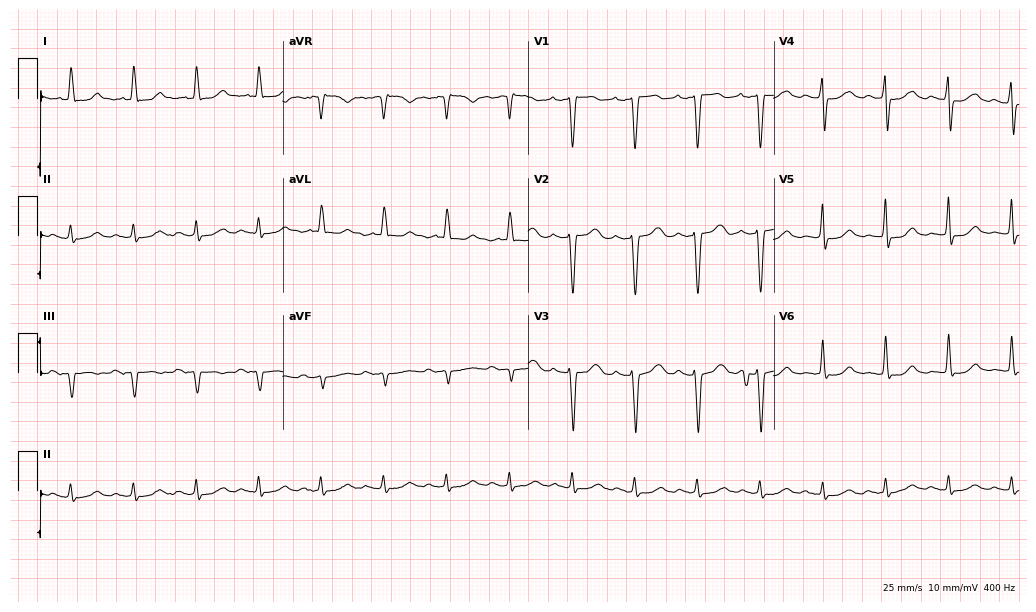
Resting 12-lead electrocardiogram (10-second recording at 400 Hz). Patient: a 78-year-old female. Read as a normal ECG.